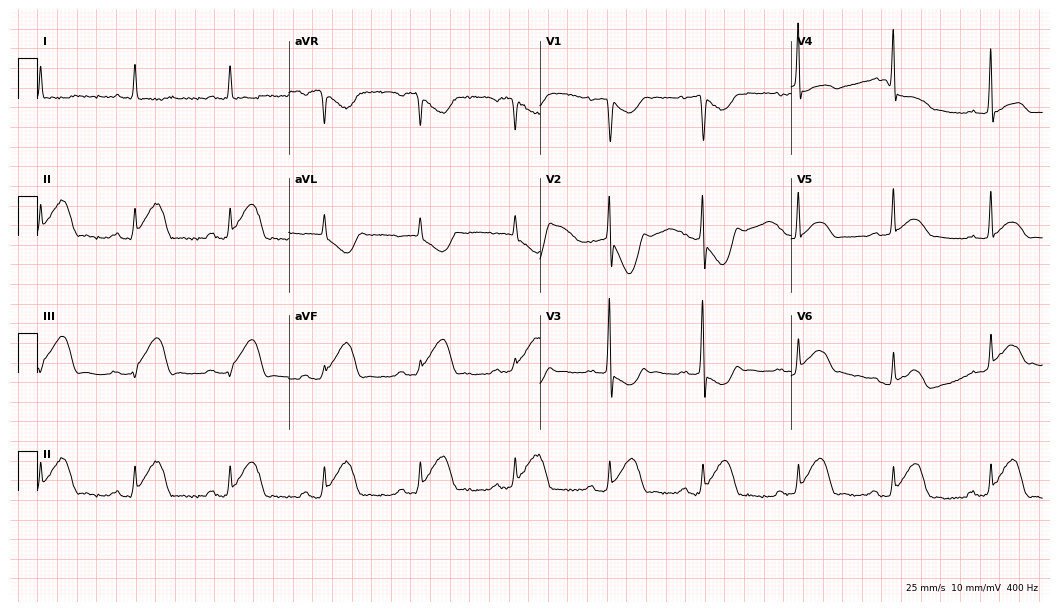
Standard 12-lead ECG recorded from a female patient, 81 years old (10.2-second recording at 400 Hz). None of these six findings is recorded: first-degree AV block, right bundle branch block, left bundle branch block, sinus bradycardia, atrial fibrillation, sinus tachycardia.